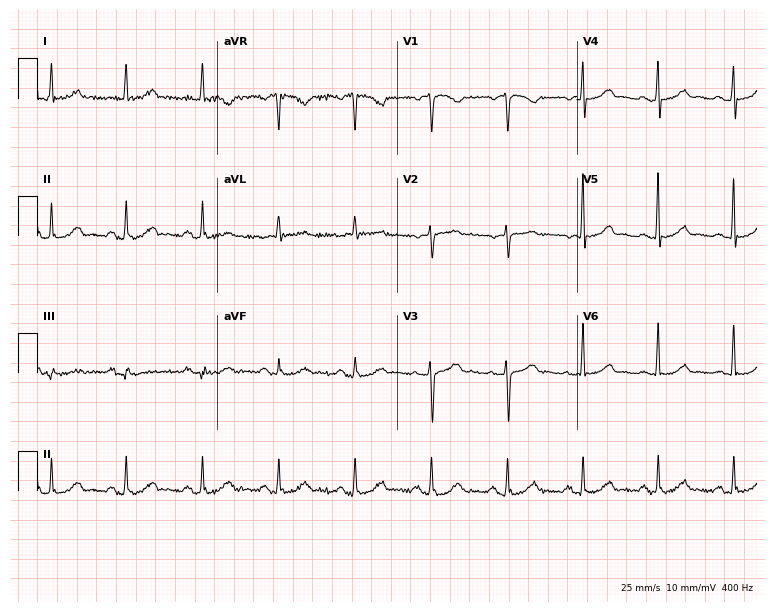
Resting 12-lead electrocardiogram. Patient: a woman, 76 years old. None of these six findings is recorded: first-degree AV block, right bundle branch block, left bundle branch block, sinus bradycardia, atrial fibrillation, sinus tachycardia. Other findings, if any, are not listed.